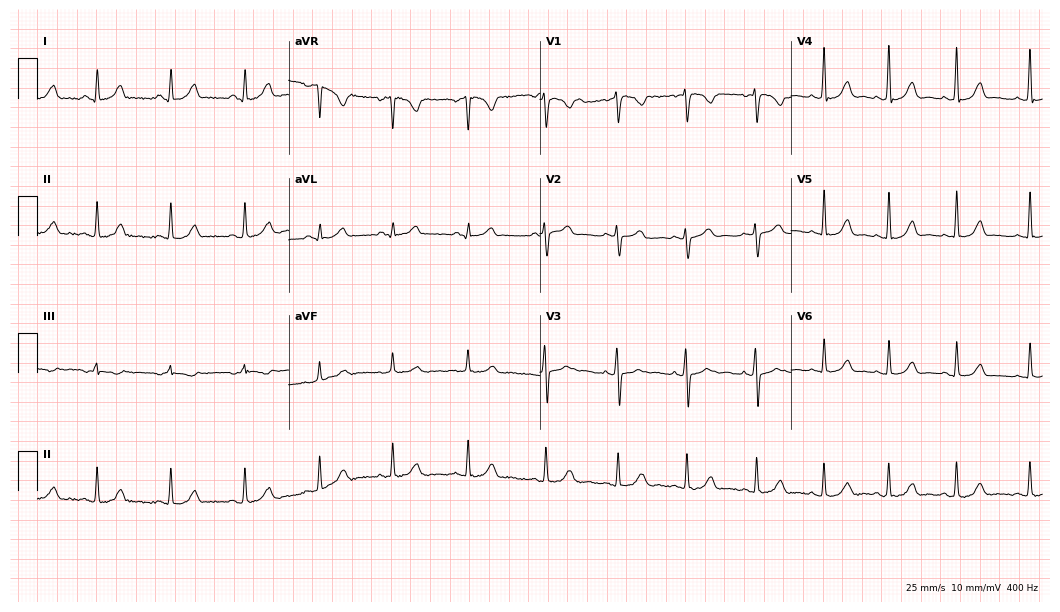
Electrocardiogram (10.2-second recording at 400 Hz), a female patient, 22 years old. Overall reading on record: normal ECG.